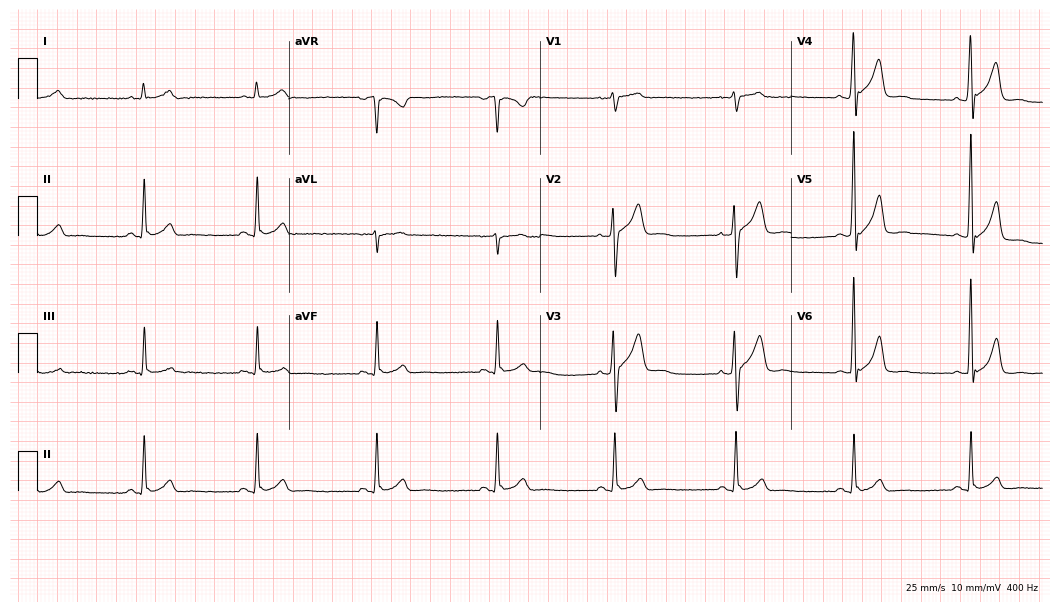
Standard 12-lead ECG recorded from a man, 52 years old. Read as a normal ECG.